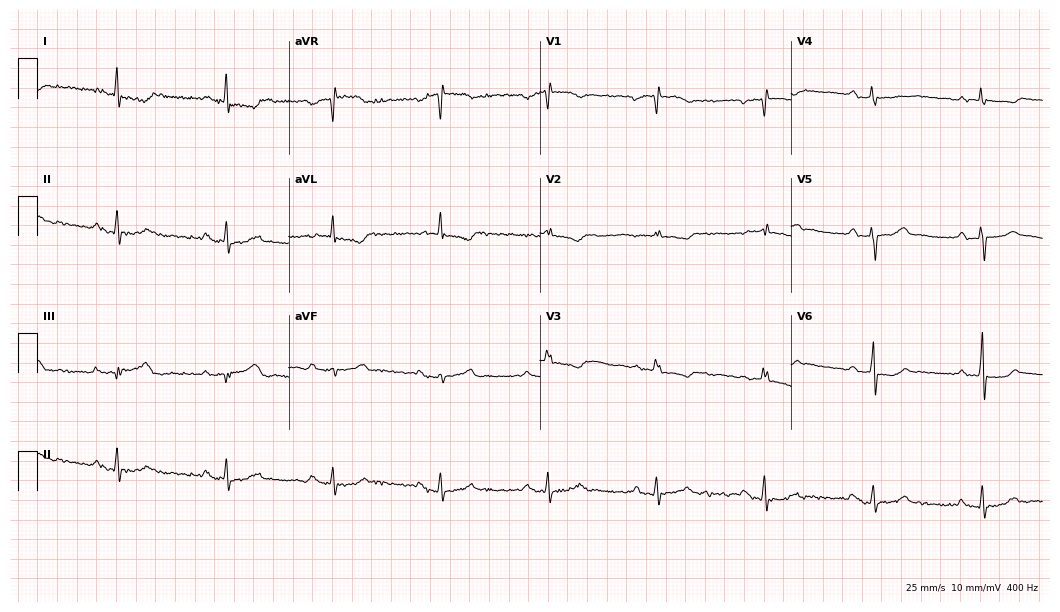
Resting 12-lead electrocardiogram. Patient: a male, 77 years old. None of these six findings is recorded: first-degree AV block, right bundle branch block (RBBB), left bundle branch block (LBBB), sinus bradycardia, atrial fibrillation (AF), sinus tachycardia.